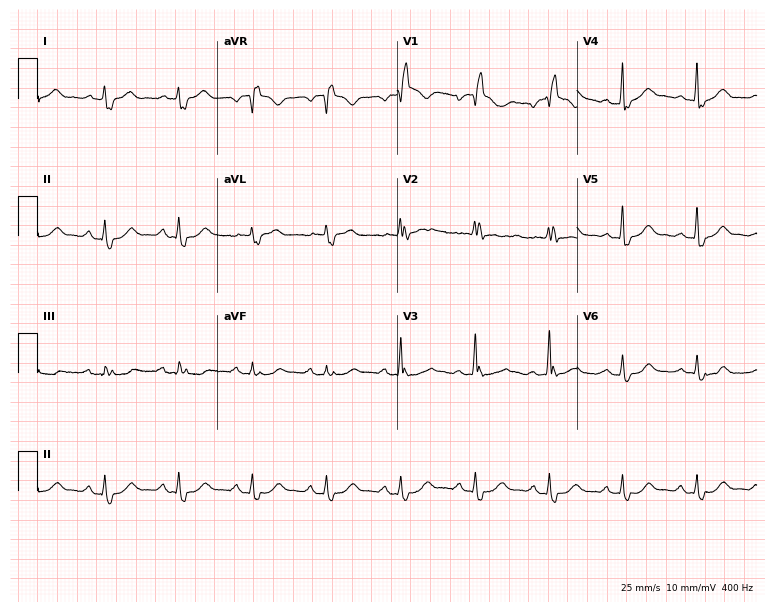
12-lead ECG from a 74-year-old male patient. Shows right bundle branch block.